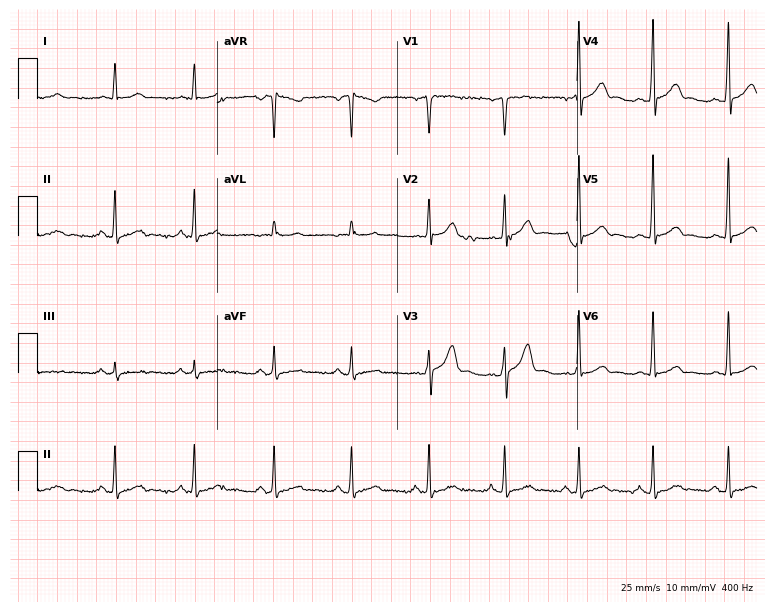
Standard 12-lead ECG recorded from a male, 42 years old (7.3-second recording at 400 Hz). Read as a normal ECG.